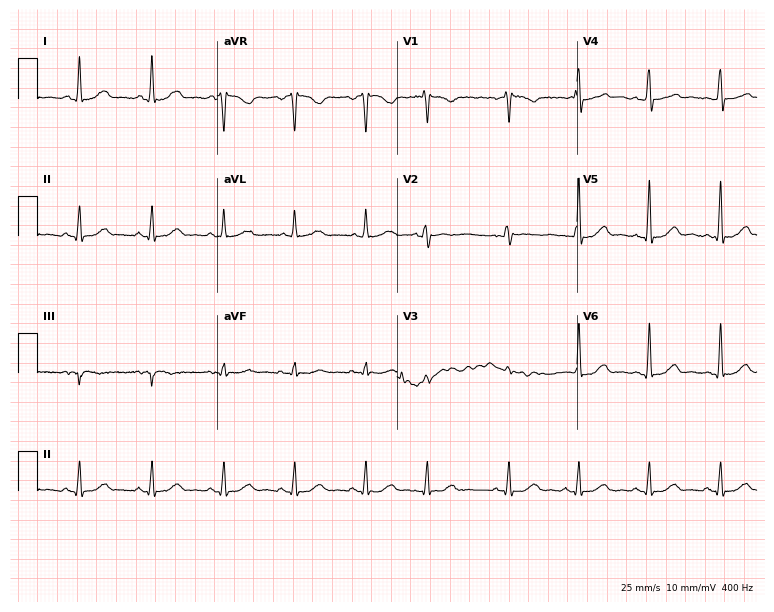
12-lead ECG from a 37-year-old female patient. Recorded interpretation: within normal limits.